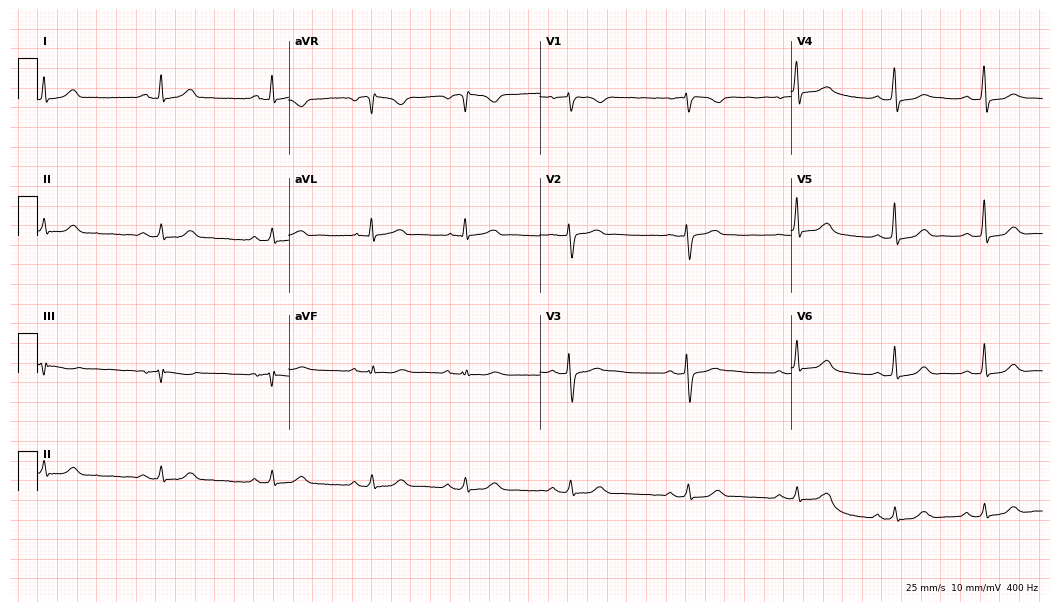
Standard 12-lead ECG recorded from a female, 46 years old (10.2-second recording at 400 Hz). Read as a normal ECG.